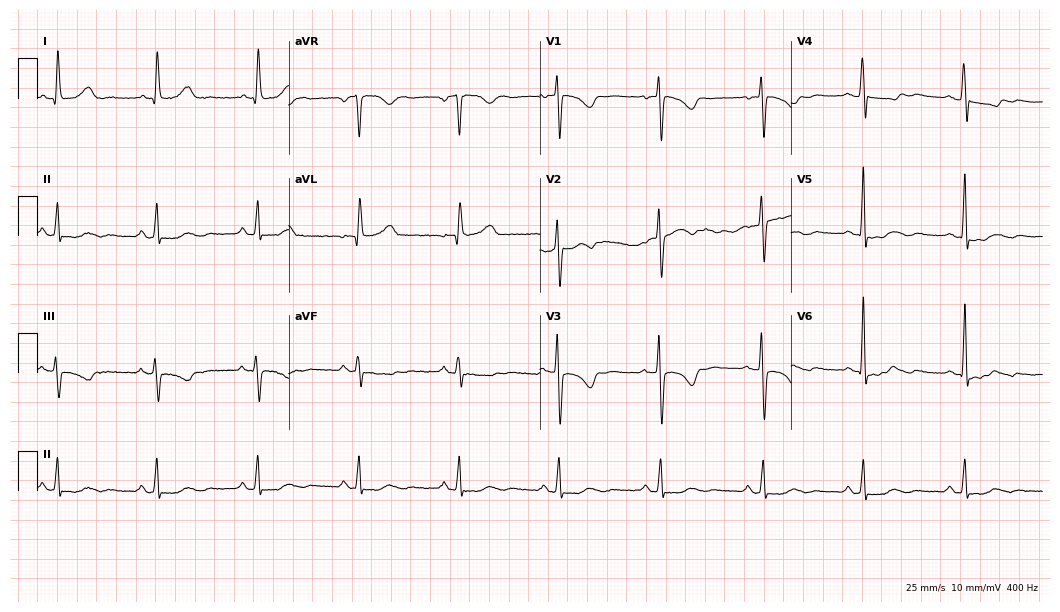
Resting 12-lead electrocardiogram. Patient: a female, 63 years old. None of these six findings is recorded: first-degree AV block, right bundle branch block, left bundle branch block, sinus bradycardia, atrial fibrillation, sinus tachycardia.